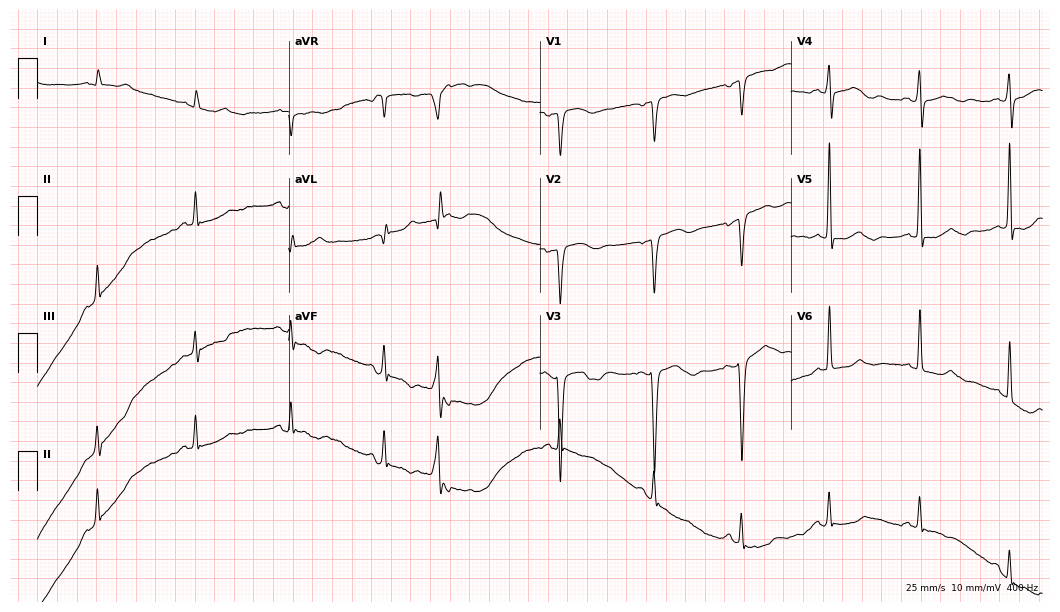
Standard 12-lead ECG recorded from a man, 68 years old (10.2-second recording at 400 Hz). None of these six findings is recorded: first-degree AV block, right bundle branch block (RBBB), left bundle branch block (LBBB), sinus bradycardia, atrial fibrillation (AF), sinus tachycardia. Findings outside these six are not listed.